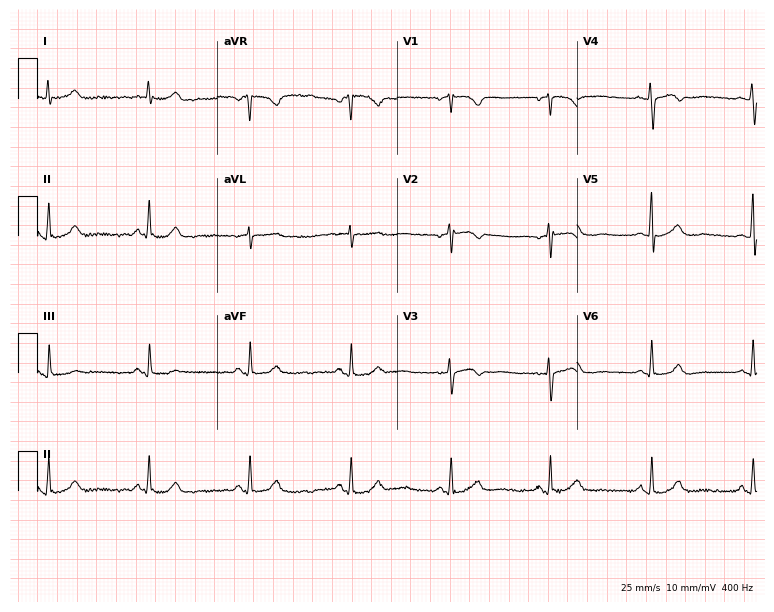
Resting 12-lead electrocardiogram (7.3-second recording at 400 Hz). Patient: a female, 53 years old. Read as a normal ECG.